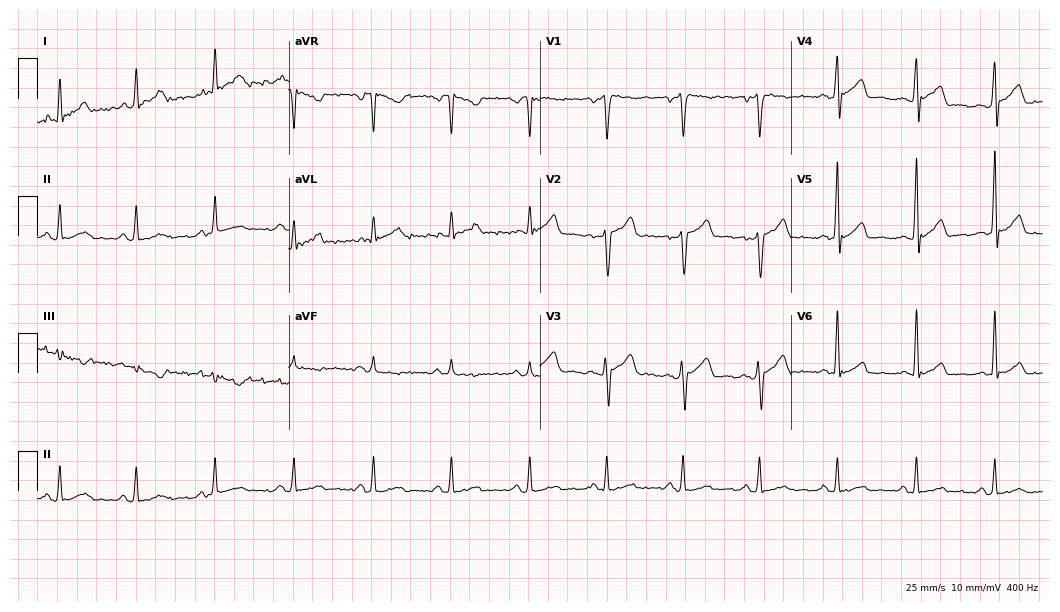
Electrocardiogram (10.2-second recording at 400 Hz), a 44-year-old man. Overall reading on record: normal ECG.